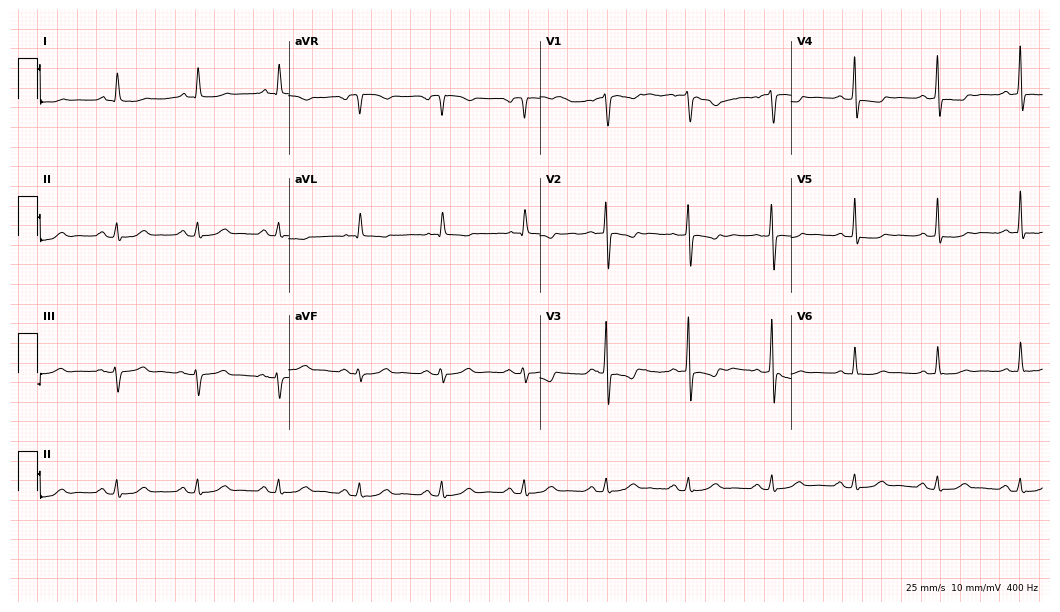
Standard 12-lead ECG recorded from a 74-year-old male (10.2-second recording at 400 Hz). None of these six findings is recorded: first-degree AV block, right bundle branch block, left bundle branch block, sinus bradycardia, atrial fibrillation, sinus tachycardia.